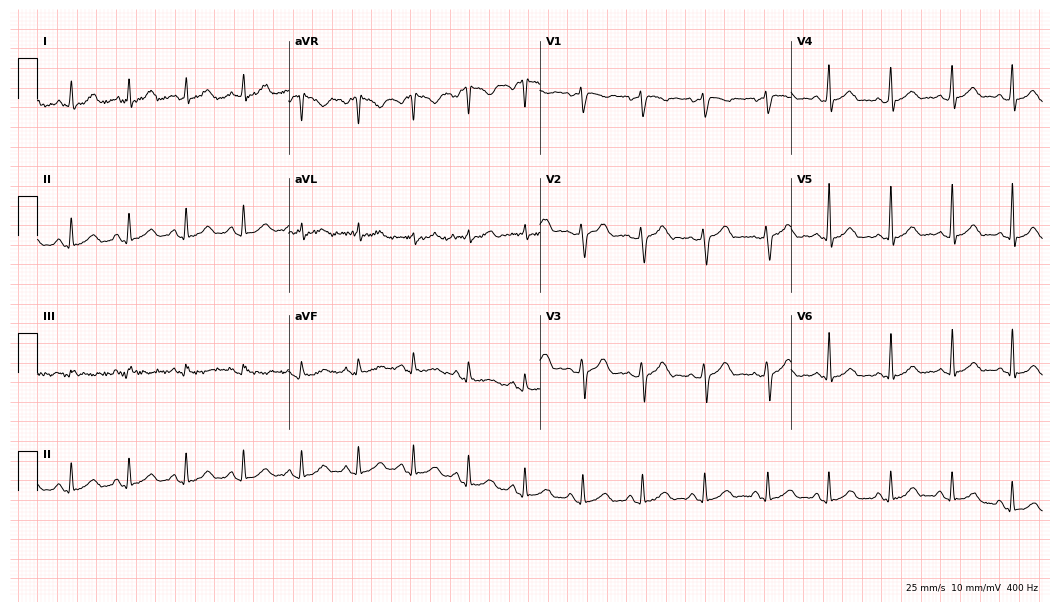
Resting 12-lead electrocardiogram (10.2-second recording at 400 Hz). Patient: a woman, 26 years old. Read as a normal ECG.